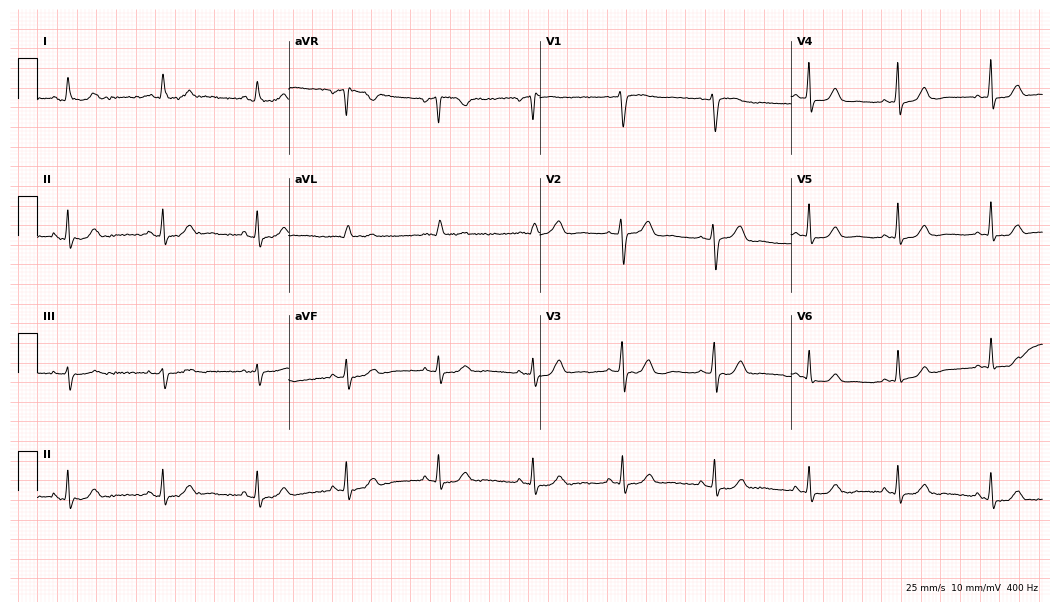
Electrocardiogram, a female, 43 years old. Overall reading on record: normal ECG.